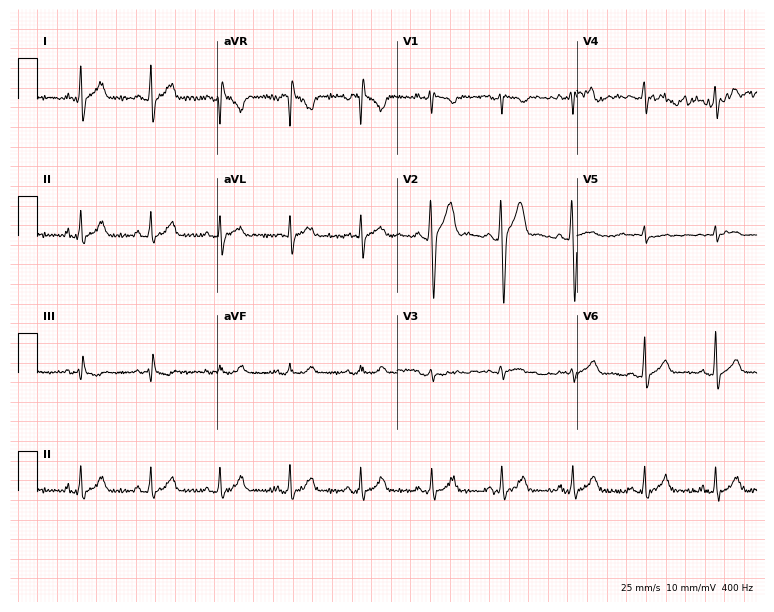
12-lead ECG from a male patient, 25 years old. Screened for six findings — first-degree AV block, right bundle branch block, left bundle branch block, sinus bradycardia, atrial fibrillation, sinus tachycardia — none is recorded. Other findings, if any, are not listed.